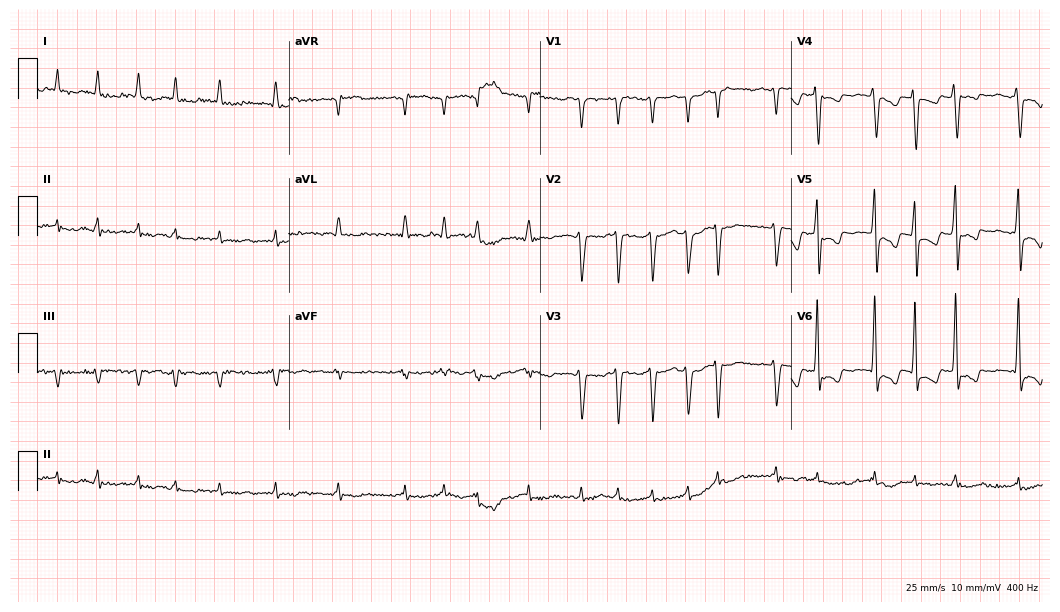
Electrocardiogram (10.2-second recording at 400 Hz), an 80-year-old male. Interpretation includes atrial fibrillation (AF).